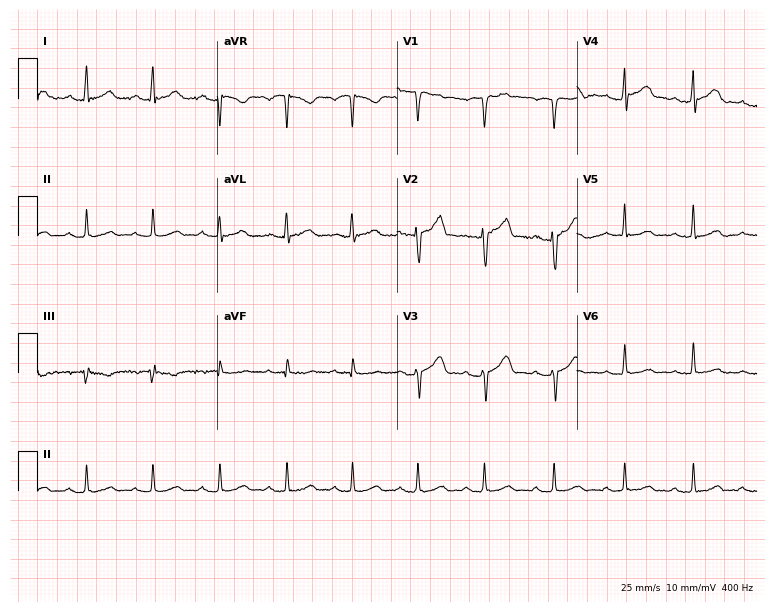
12-lead ECG (7.3-second recording at 400 Hz) from a male patient, 38 years old. Labelled as a normal ECG.